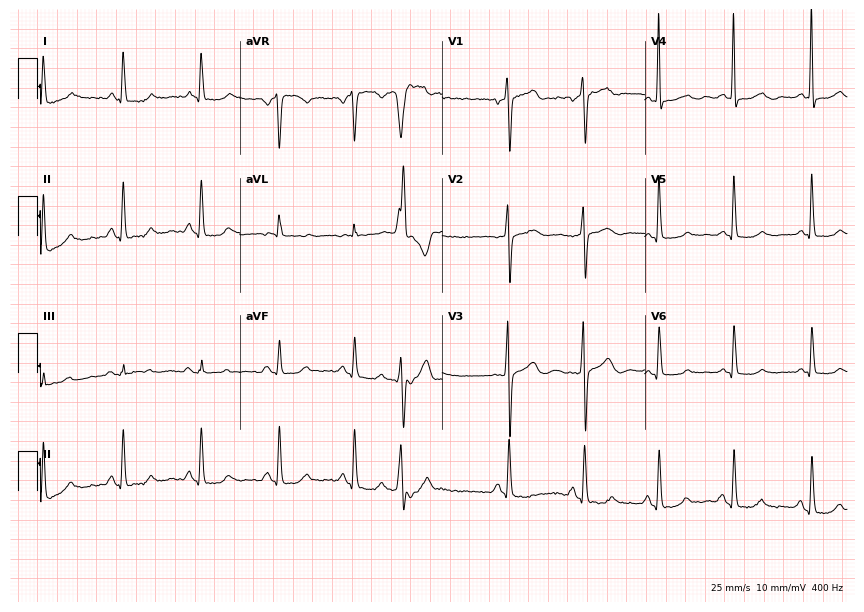
12-lead ECG from a 73-year-old female. Screened for six findings — first-degree AV block, right bundle branch block (RBBB), left bundle branch block (LBBB), sinus bradycardia, atrial fibrillation (AF), sinus tachycardia — none is recorded. Other findings, if any, are not listed.